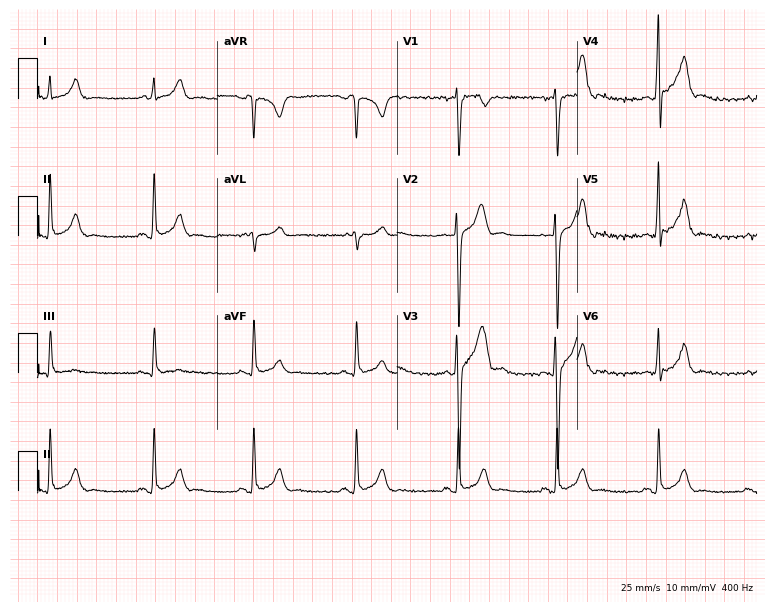
12-lead ECG from a male patient, 25 years old. Screened for six findings — first-degree AV block, right bundle branch block (RBBB), left bundle branch block (LBBB), sinus bradycardia, atrial fibrillation (AF), sinus tachycardia — none is recorded.